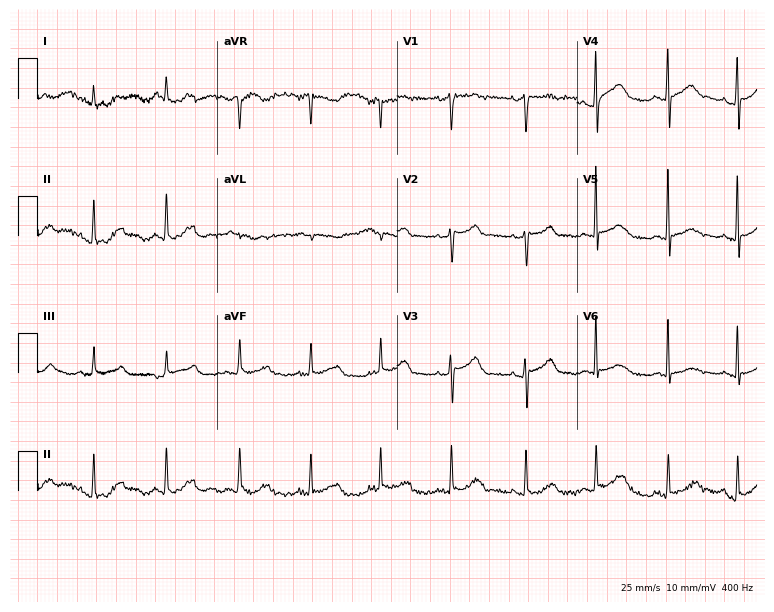
ECG (7.3-second recording at 400 Hz) — a 77-year-old female. Screened for six findings — first-degree AV block, right bundle branch block (RBBB), left bundle branch block (LBBB), sinus bradycardia, atrial fibrillation (AF), sinus tachycardia — none is recorded.